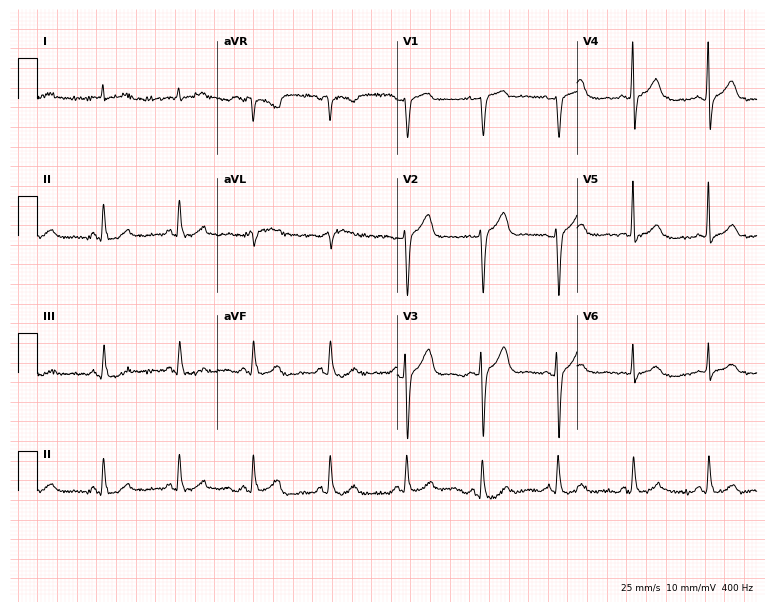
12-lead ECG from a man, 74 years old. Recorded interpretation: within normal limits.